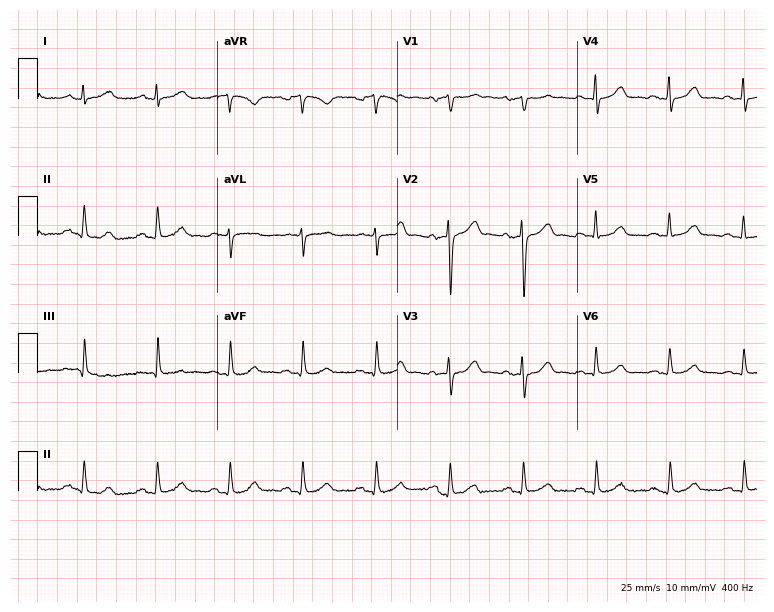
Resting 12-lead electrocardiogram. Patient: a 63-year-old male. None of these six findings is recorded: first-degree AV block, right bundle branch block, left bundle branch block, sinus bradycardia, atrial fibrillation, sinus tachycardia.